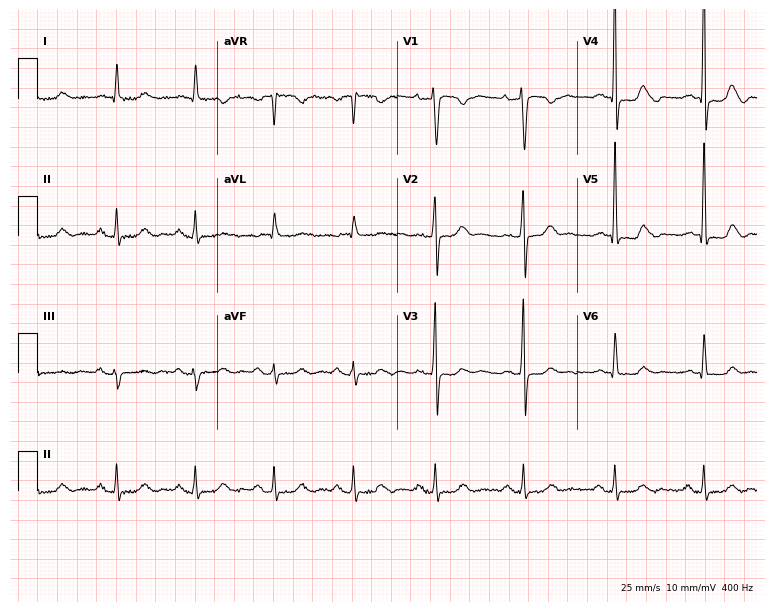
12-lead ECG from a female, 70 years old (7.3-second recording at 400 Hz). No first-degree AV block, right bundle branch block (RBBB), left bundle branch block (LBBB), sinus bradycardia, atrial fibrillation (AF) or sinus tachycardia recorded for this tracing. Other findings, if any, are not listed.